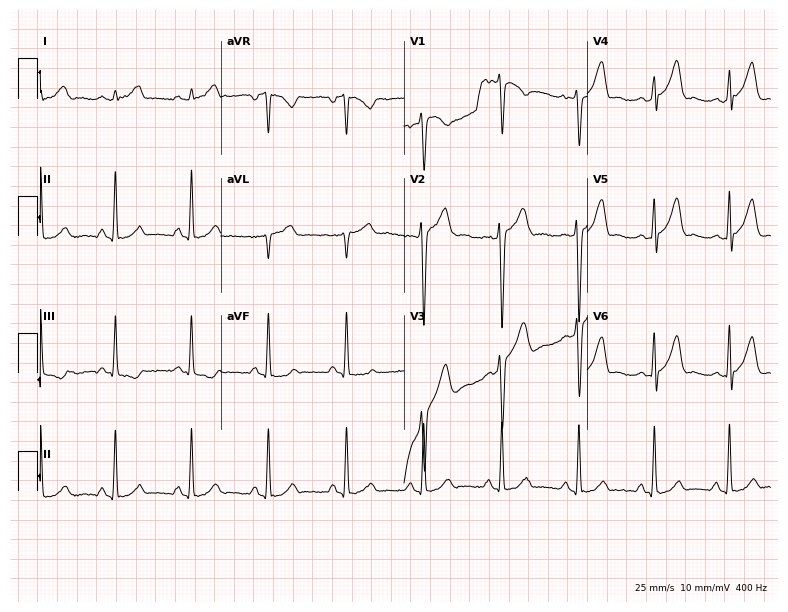
ECG — a 23-year-old male patient. Screened for six findings — first-degree AV block, right bundle branch block, left bundle branch block, sinus bradycardia, atrial fibrillation, sinus tachycardia — none is recorded.